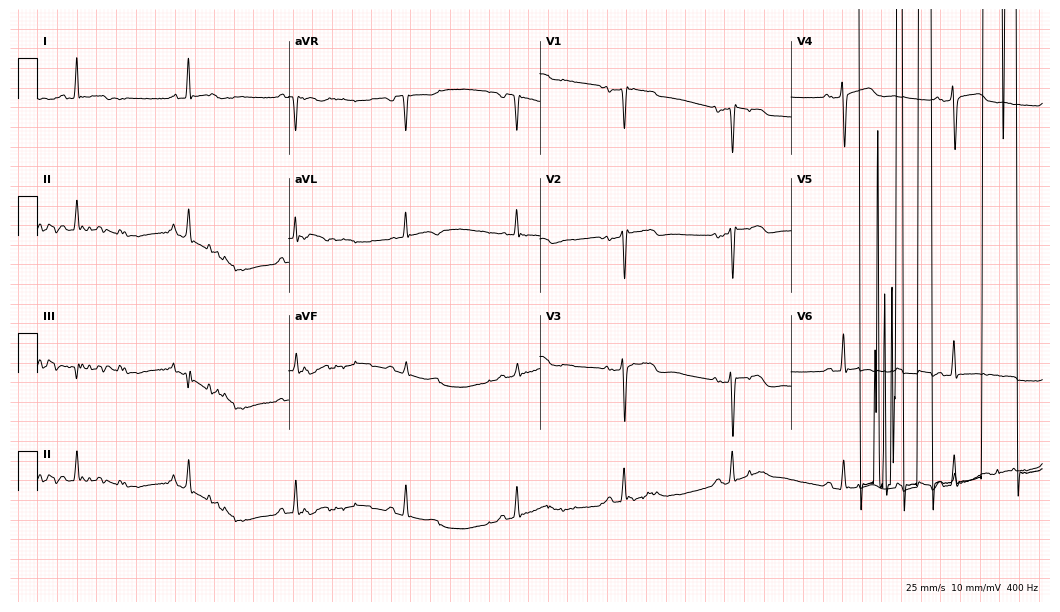
12-lead ECG from a 60-year-old female (10.2-second recording at 400 Hz). No first-degree AV block, right bundle branch block, left bundle branch block, sinus bradycardia, atrial fibrillation or sinus tachycardia recorded for this tracing.